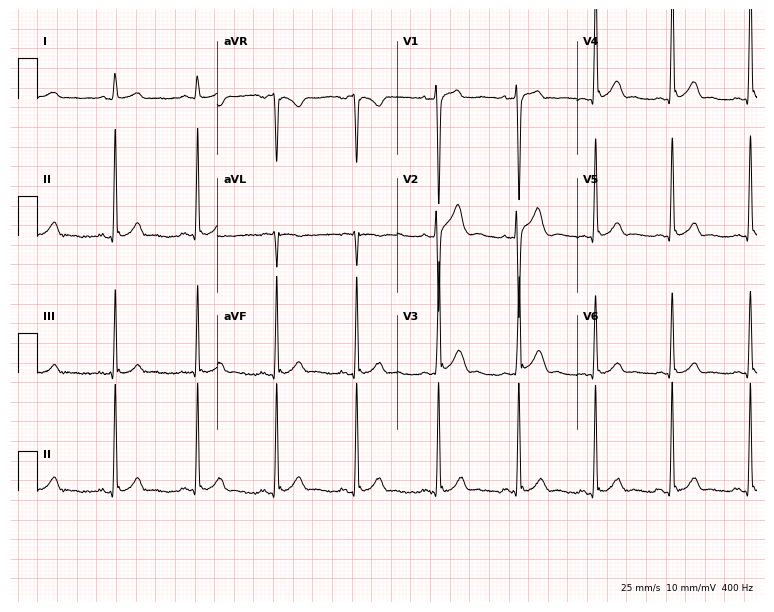
ECG — a male, 24 years old. Labelled as a normal ECG.